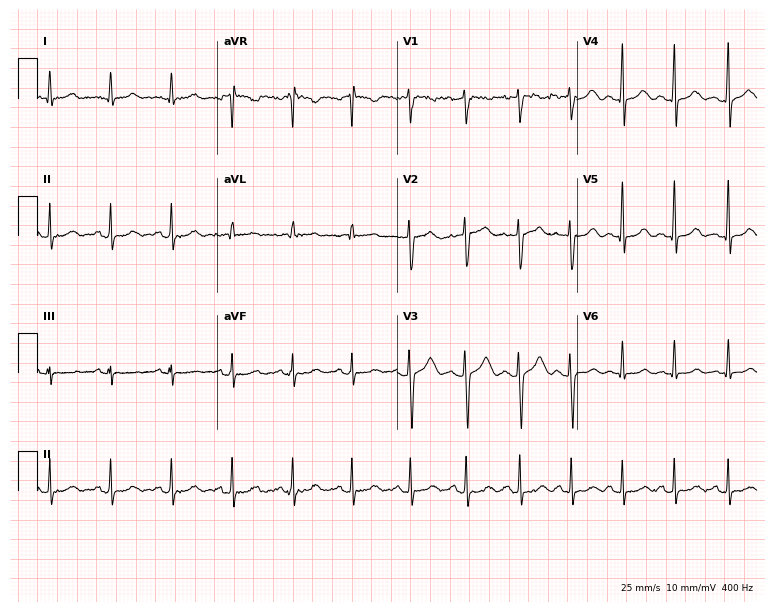
12-lead ECG (7.3-second recording at 400 Hz) from a woman, 34 years old. Labelled as a normal ECG.